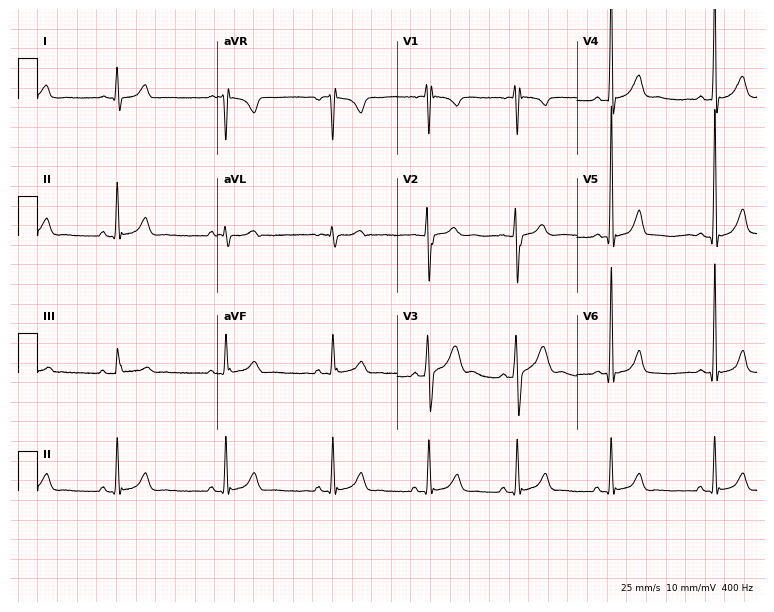
12-lead ECG from a male, 18 years old. Screened for six findings — first-degree AV block, right bundle branch block, left bundle branch block, sinus bradycardia, atrial fibrillation, sinus tachycardia — none is recorded.